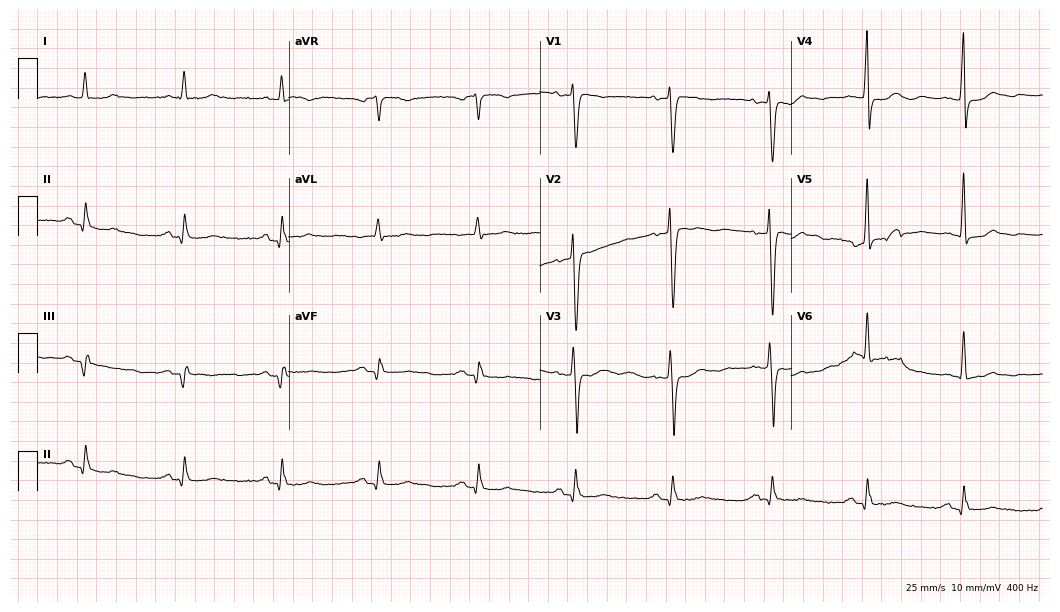
Resting 12-lead electrocardiogram (10.2-second recording at 400 Hz). Patient: a 68-year-old man. None of these six findings is recorded: first-degree AV block, right bundle branch block (RBBB), left bundle branch block (LBBB), sinus bradycardia, atrial fibrillation (AF), sinus tachycardia. Other findings, if any, are not listed.